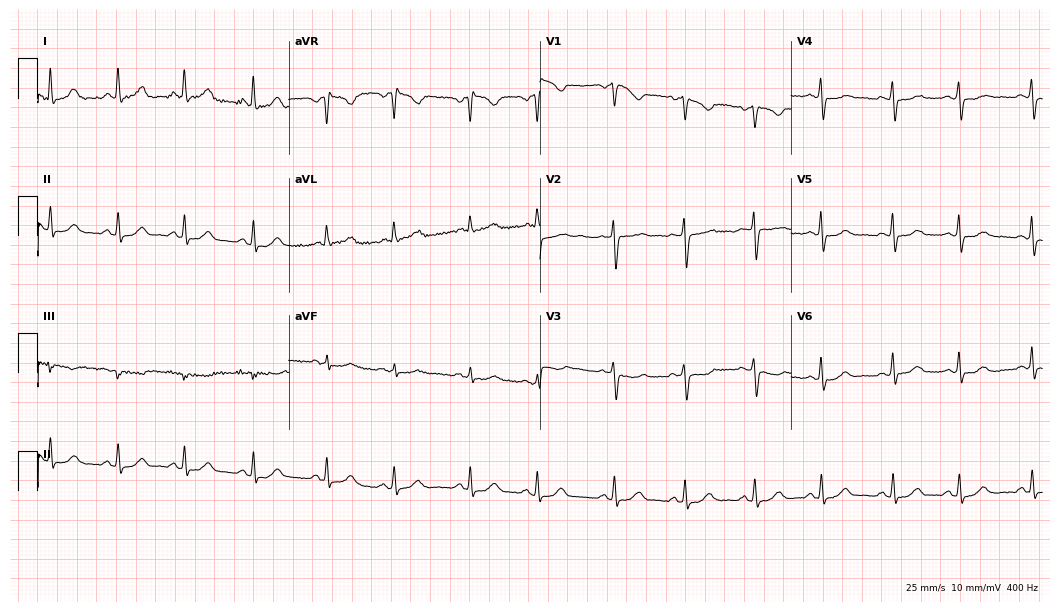
Standard 12-lead ECG recorded from a 48-year-old female. None of these six findings is recorded: first-degree AV block, right bundle branch block, left bundle branch block, sinus bradycardia, atrial fibrillation, sinus tachycardia.